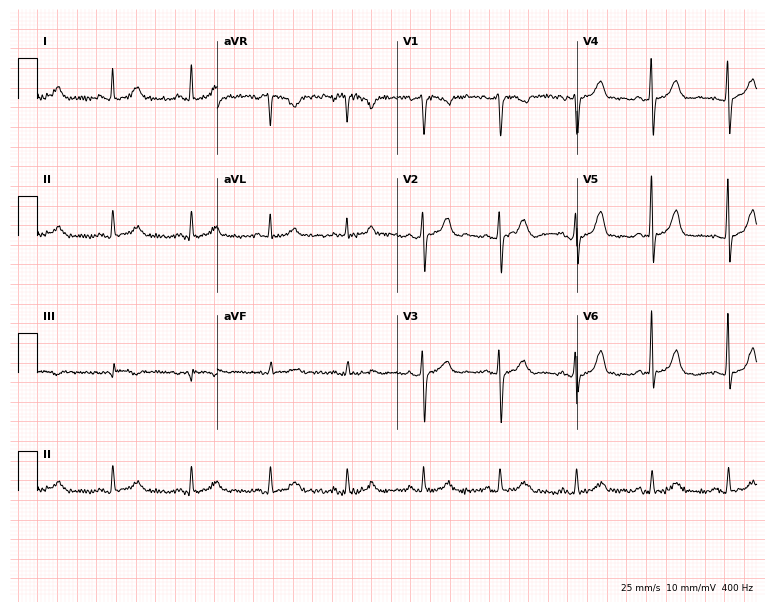
Resting 12-lead electrocardiogram (7.3-second recording at 400 Hz). Patient: a female, 45 years old. Read as a normal ECG.